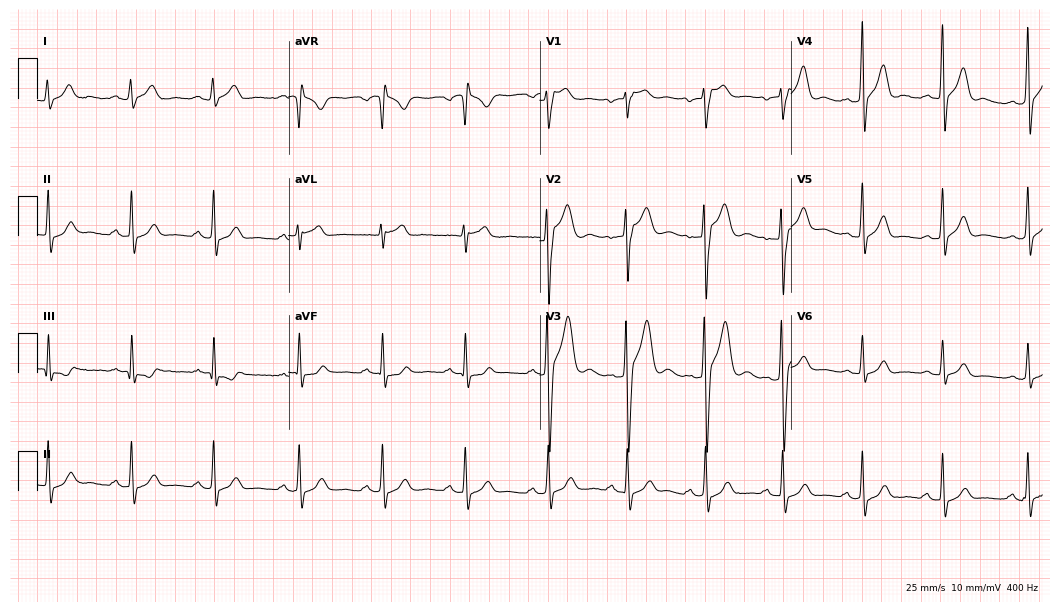
12-lead ECG from a 22-year-old man. Screened for six findings — first-degree AV block, right bundle branch block, left bundle branch block, sinus bradycardia, atrial fibrillation, sinus tachycardia — none is recorded.